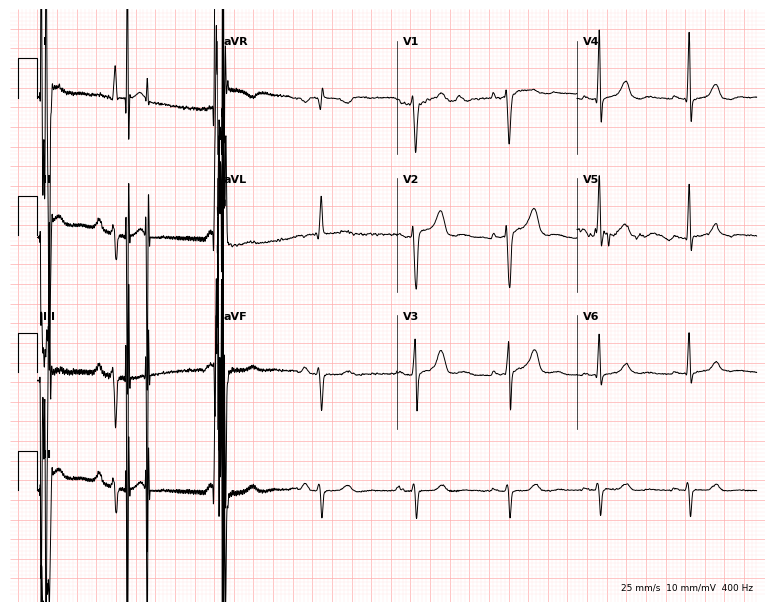
Electrocardiogram, a woman, 63 years old. Of the six screened findings (first-degree AV block, right bundle branch block, left bundle branch block, sinus bradycardia, atrial fibrillation, sinus tachycardia), none is recorded. Only these six findings were labelled.